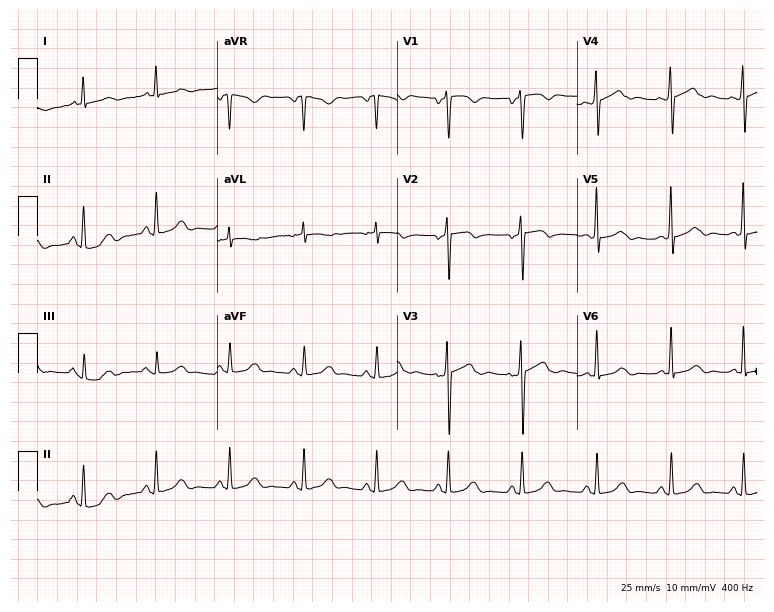
Standard 12-lead ECG recorded from a 53-year-old woman (7.3-second recording at 400 Hz). None of these six findings is recorded: first-degree AV block, right bundle branch block, left bundle branch block, sinus bradycardia, atrial fibrillation, sinus tachycardia. Other findings, if any, are not listed.